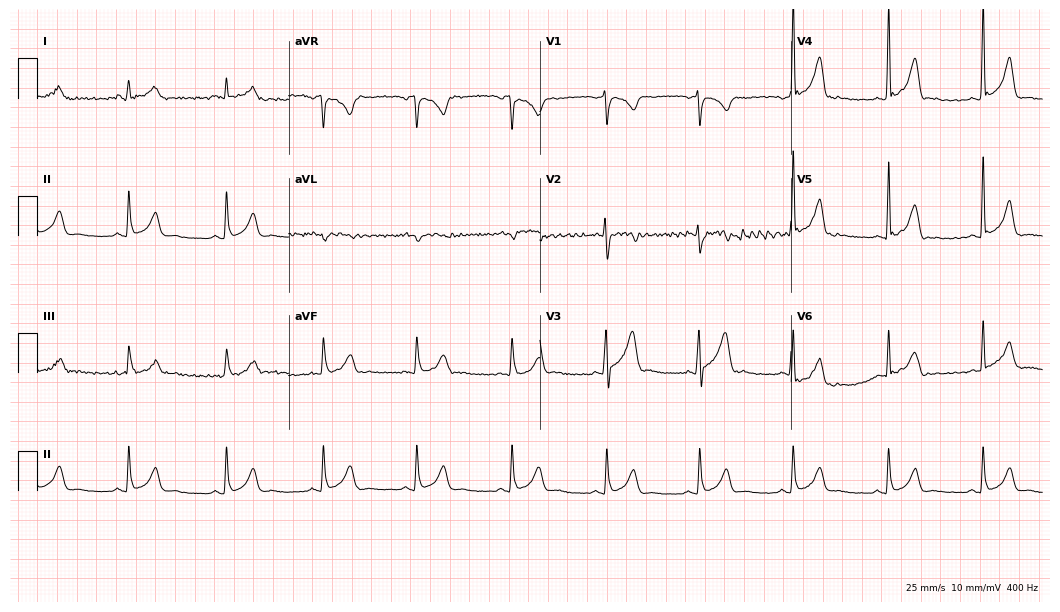
Electrocardiogram, a male patient, 35 years old. Overall reading on record: normal ECG.